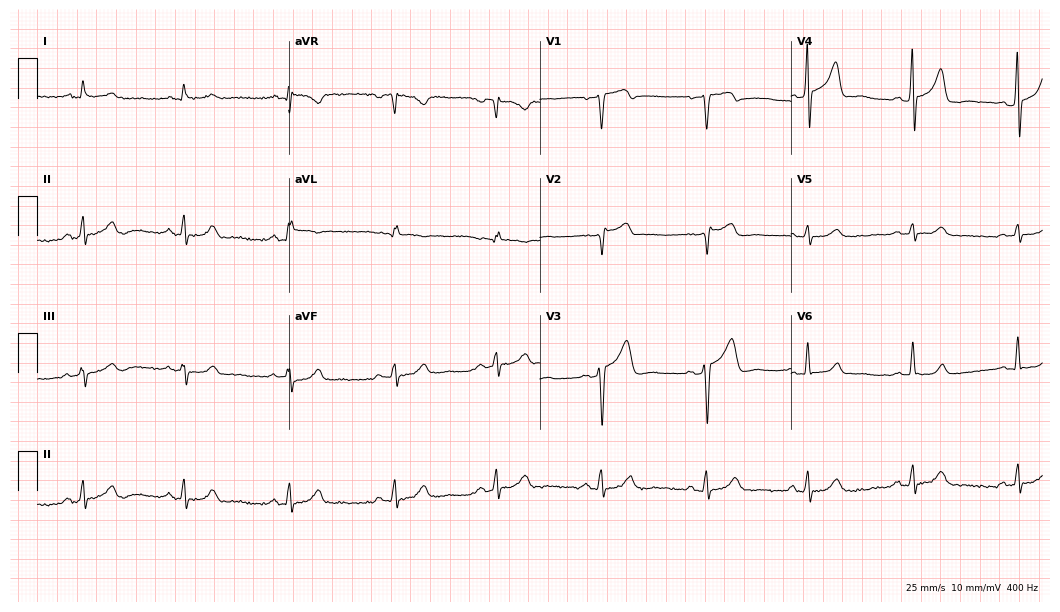
12-lead ECG from a 64-year-old man. No first-degree AV block, right bundle branch block (RBBB), left bundle branch block (LBBB), sinus bradycardia, atrial fibrillation (AF) or sinus tachycardia recorded for this tracing. Only these six findings were labelled.